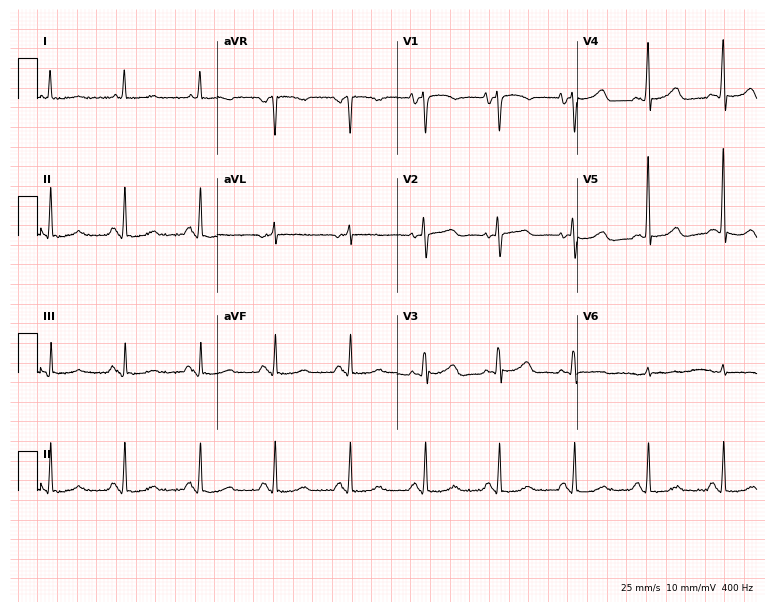
12-lead ECG (7.3-second recording at 400 Hz) from a woman, 73 years old. Screened for six findings — first-degree AV block, right bundle branch block (RBBB), left bundle branch block (LBBB), sinus bradycardia, atrial fibrillation (AF), sinus tachycardia — none is recorded. Findings outside these six are not listed.